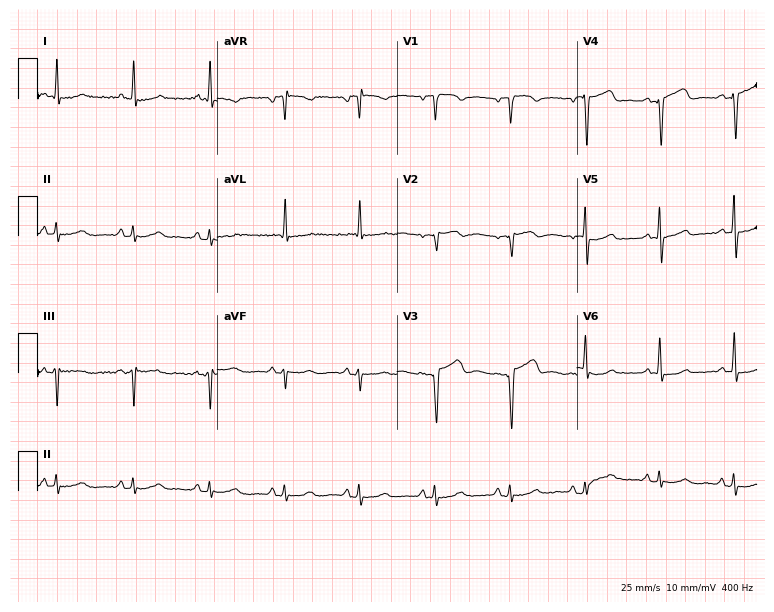
Resting 12-lead electrocardiogram (7.3-second recording at 400 Hz). Patient: a woman, 67 years old. None of these six findings is recorded: first-degree AV block, right bundle branch block, left bundle branch block, sinus bradycardia, atrial fibrillation, sinus tachycardia. Other findings, if any, are not listed.